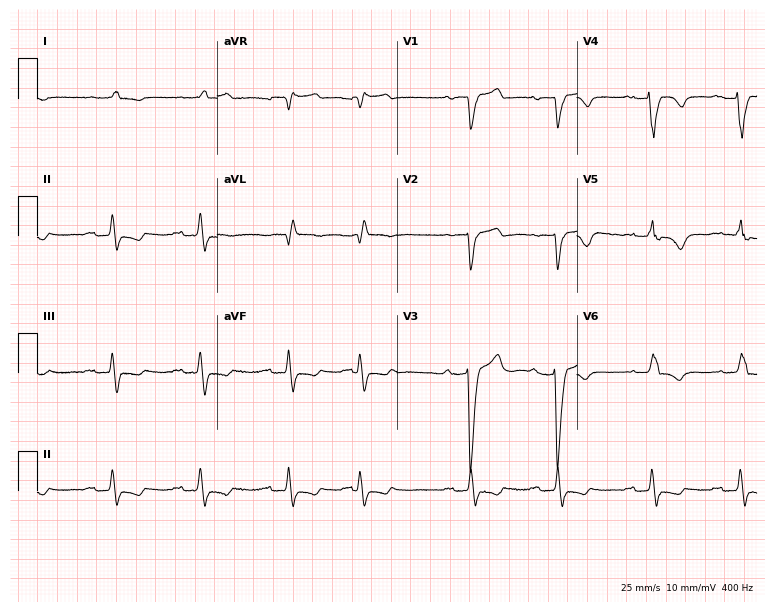
ECG (7.3-second recording at 400 Hz) — an 87-year-old male. Findings include first-degree AV block, left bundle branch block.